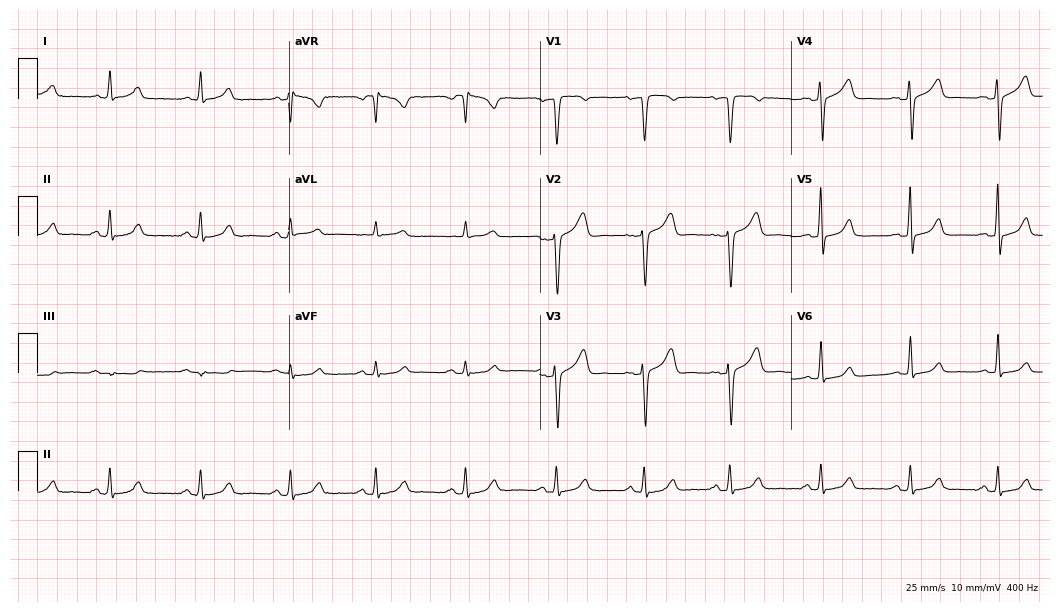
ECG (10.2-second recording at 400 Hz) — a female patient, 50 years old. Screened for six findings — first-degree AV block, right bundle branch block, left bundle branch block, sinus bradycardia, atrial fibrillation, sinus tachycardia — none is recorded.